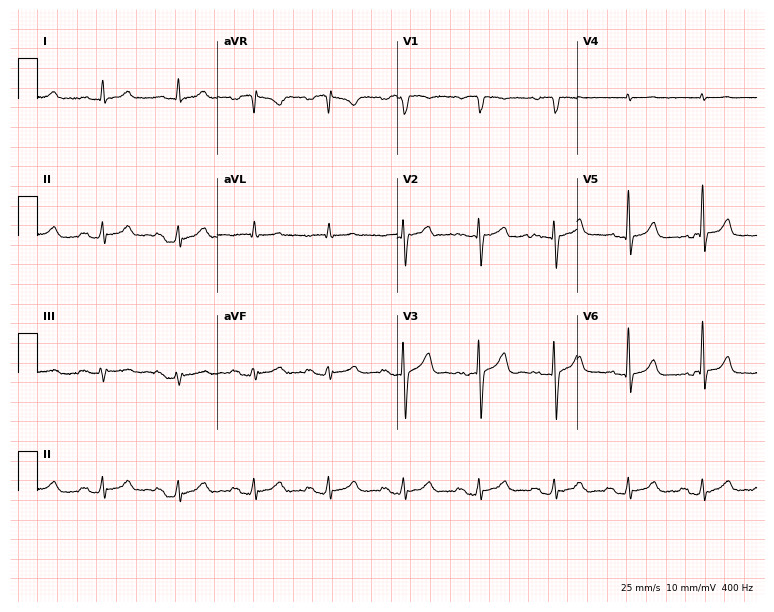
ECG (7.3-second recording at 400 Hz) — a 68-year-old male. Screened for six findings — first-degree AV block, right bundle branch block, left bundle branch block, sinus bradycardia, atrial fibrillation, sinus tachycardia — none is recorded. Other findings, if any, are not listed.